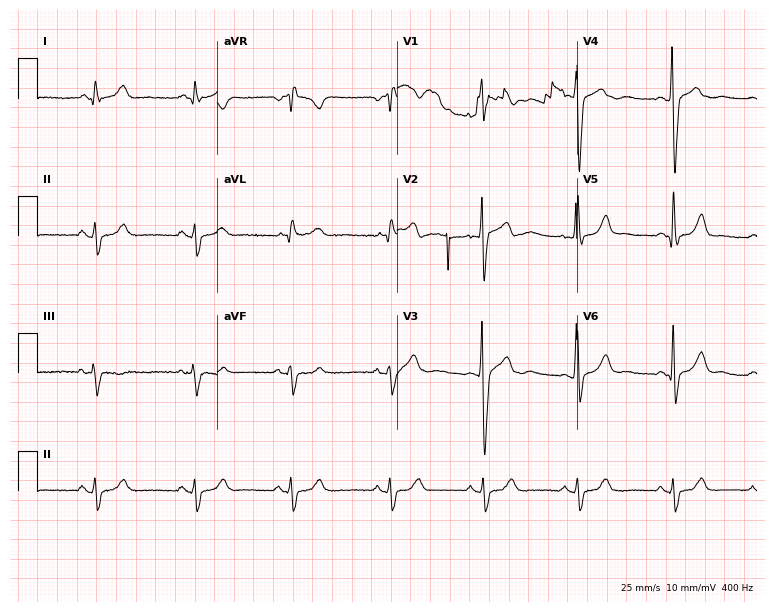
12-lead ECG from a male patient, 27 years old (7.3-second recording at 400 Hz). No first-degree AV block, right bundle branch block (RBBB), left bundle branch block (LBBB), sinus bradycardia, atrial fibrillation (AF) or sinus tachycardia recorded for this tracing.